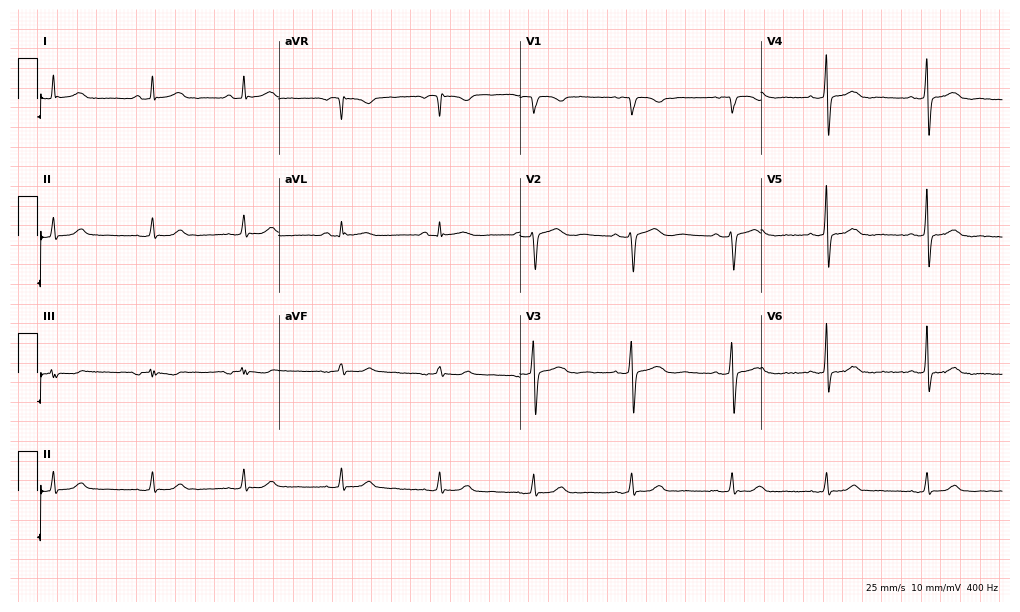
12-lead ECG from a 45-year-old female patient. Recorded interpretation: within normal limits.